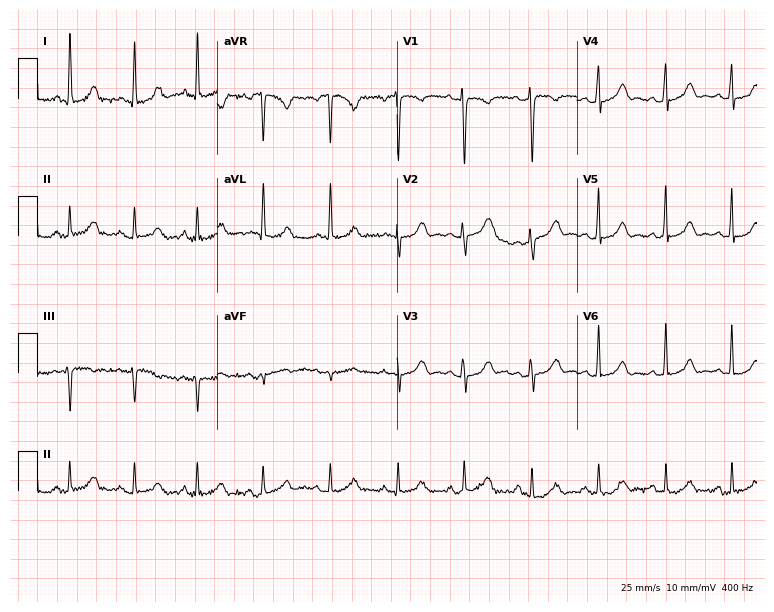
Resting 12-lead electrocardiogram. Patient: a 45-year-old woman. None of these six findings is recorded: first-degree AV block, right bundle branch block, left bundle branch block, sinus bradycardia, atrial fibrillation, sinus tachycardia. Findings outside these six are not listed.